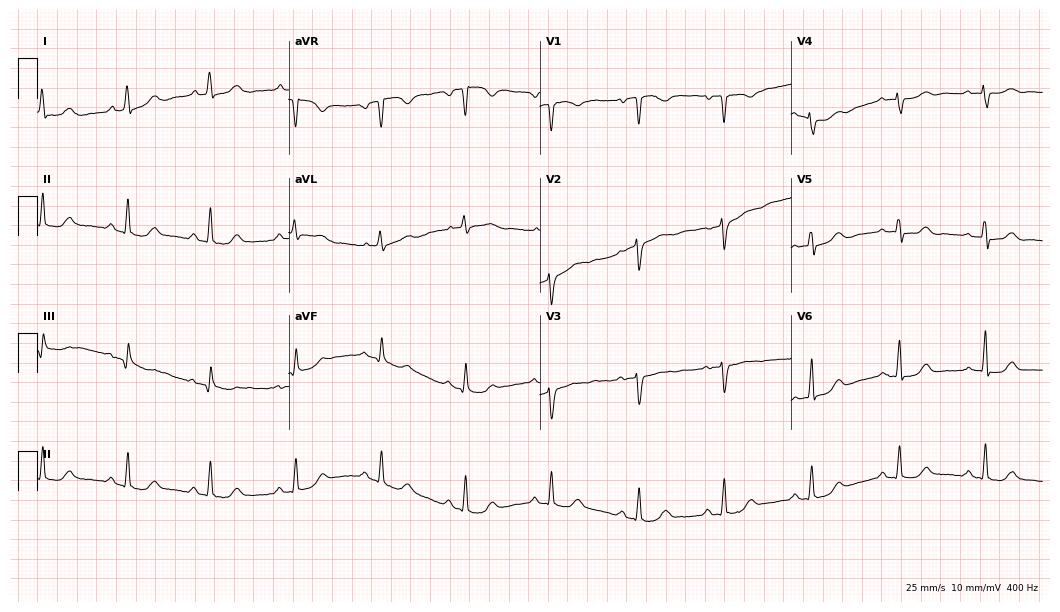
Electrocardiogram (10.2-second recording at 400 Hz), a woman, 73 years old. Overall reading on record: normal ECG.